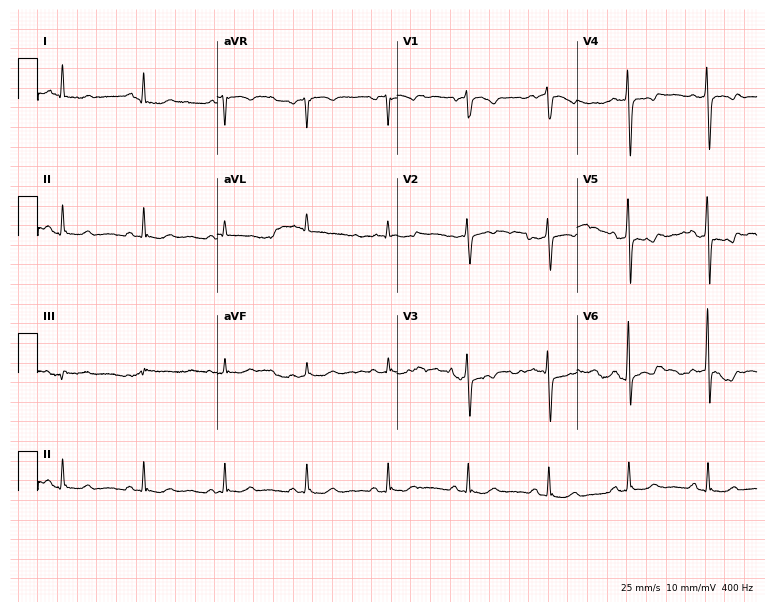
Electrocardiogram, a 58-year-old female. Of the six screened findings (first-degree AV block, right bundle branch block, left bundle branch block, sinus bradycardia, atrial fibrillation, sinus tachycardia), none is recorded. Other findings, if any, are not listed.